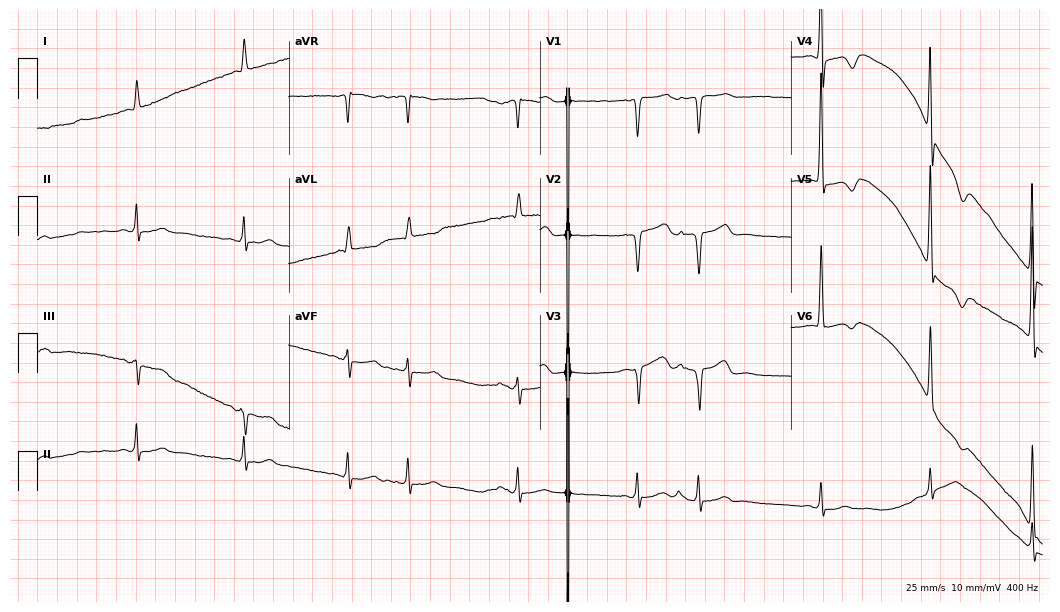
12-lead ECG (10.2-second recording at 400 Hz) from an 80-year-old male. Screened for six findings — first-degree AV block, right bundle branch block, left bundle branch block, sinus bradycardia, atrial fibrillation, sinus tachycardia — none is recorded. Other findings, if any, are not listed.